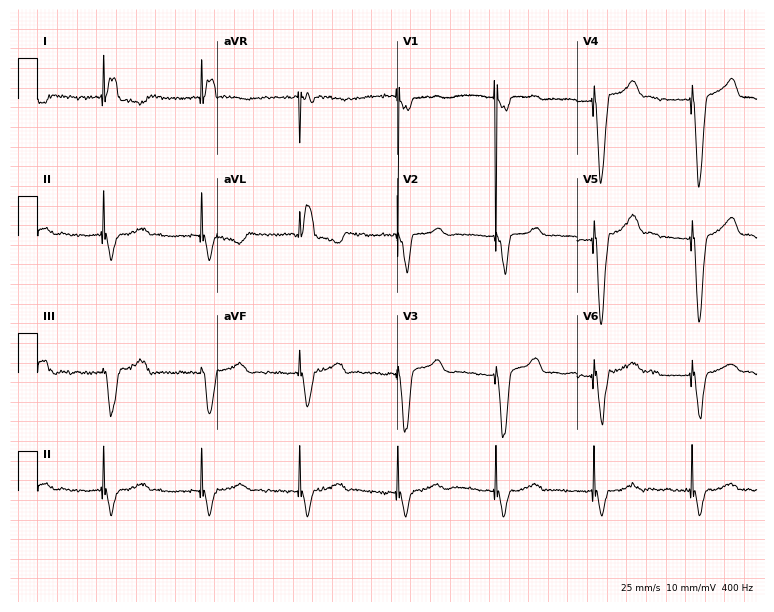
12-lead ECG (7.3-second recording at 400 Hz) from a 69-year-old male. Screened for six findings — first-degree AV block, right bundle branch block, left bundle branch block, sinus bradycardia, atrial fibrillation, sinus tachycardia — none is recorded.